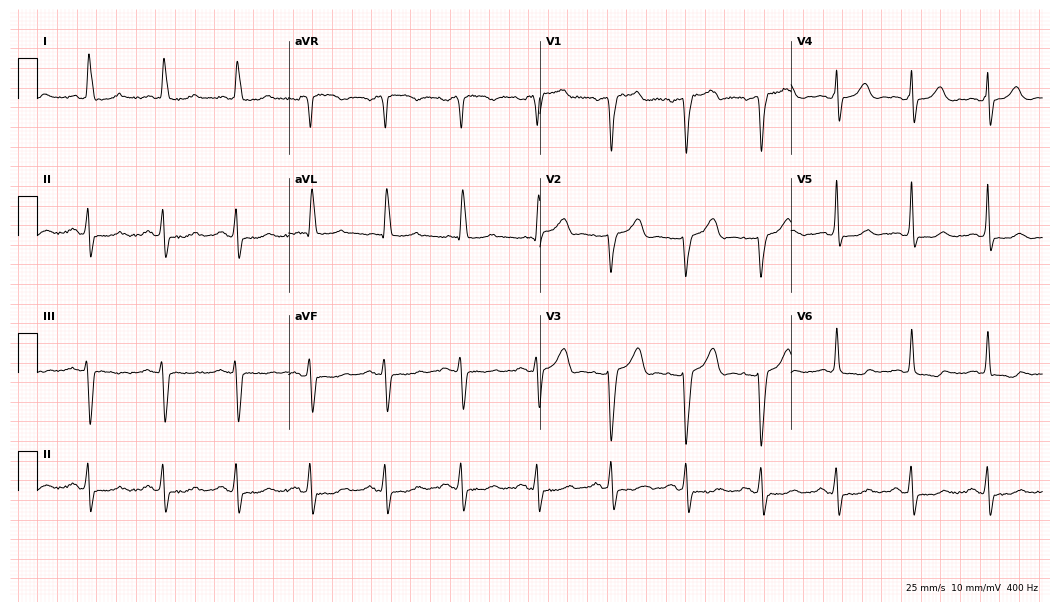
12-lead ECG from a 65-year-old female. No first-degree AV block, right bundle branch block (RBBB), left bundle branch block (LBBB), sinus bradycardia, atrial fibrillation (AF) or sinus tachycardia recorded for this tracing. Only these six findings were labelled.